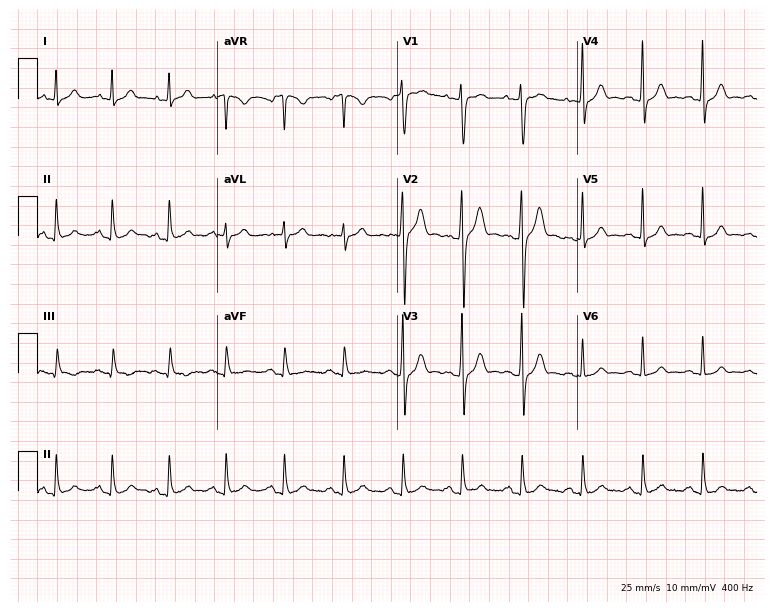
Electrocardiogram (7.3-second recording at 400 Hz), a male patient, 35 years old. Interpretation includes sinus tachycardia (a sinus rate of 100 beats per minute or more).